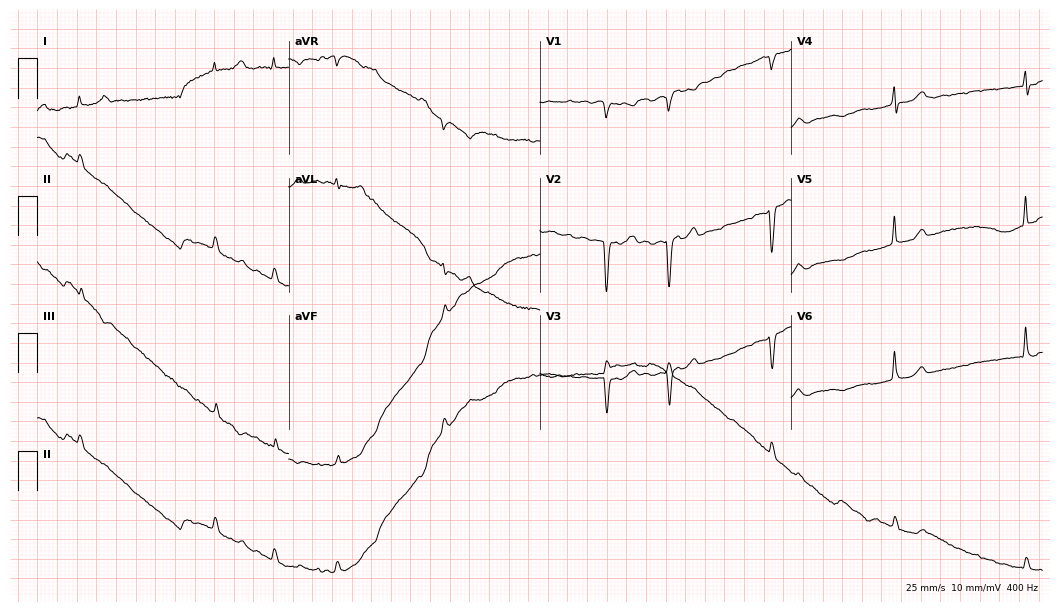
12-lead ECG (10.2-second recording at 400 Hz) from a woman, 85 years old. Screened for six findings — first-degree AV block, right bundle branch block, left bundle branch block, sinus bradycardia, atrial fibrillation, sinus tachycardia — none is recorded.